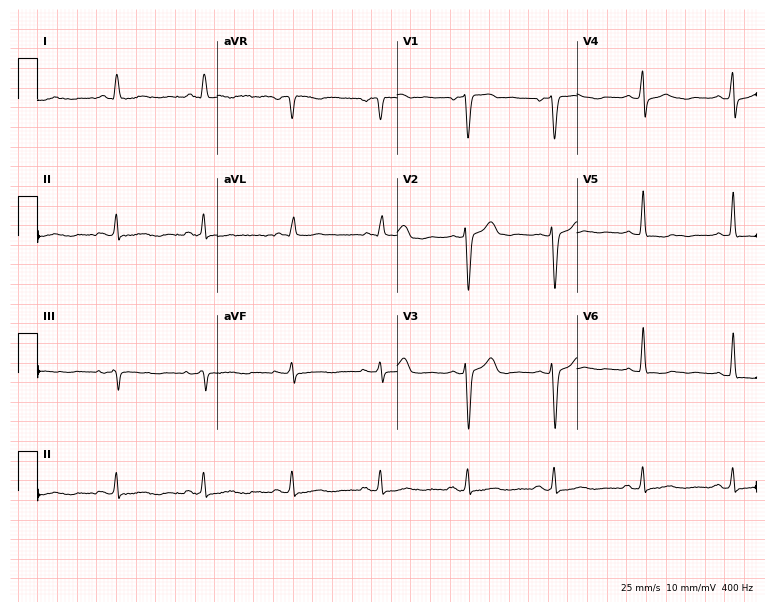
Electrocardiogram, a female patient, 50 years old. Of the six screened findings (first-degree AV block, right bundle branch block (RBBB), left bundle branch block (LBBB), sinus bradycardia, atrial fibrillation (AF), sinus tachycardia), none is recorded. Only these six findings were labelled.